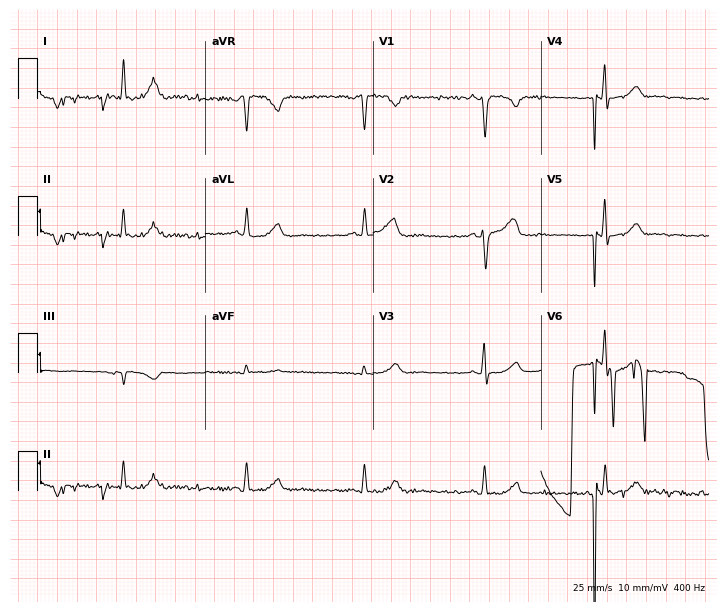
Electrocardiogram, a 56-year-old female patient. Of the six screened findings (first-degree AV block, right bundle branch block (RBBB), left bundle branch block (LBBB), sinus bradycardia, atrial fibrillation (AF), sinus tachycardia), none is recorded. Only these six findings were labelled.